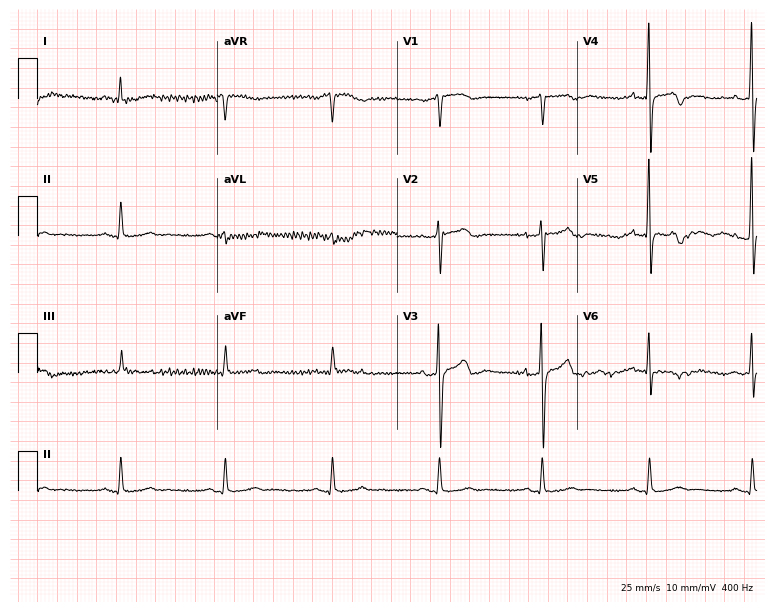
12-lead ECG from a female, 60 years old. Screened for six findings — first-degree AV block, right bundle branch block, left bundle branch block, sinus bradycardia, atrial fibrillation, sinus tachycardia — none is recorded. Findings outside these six are not listed.